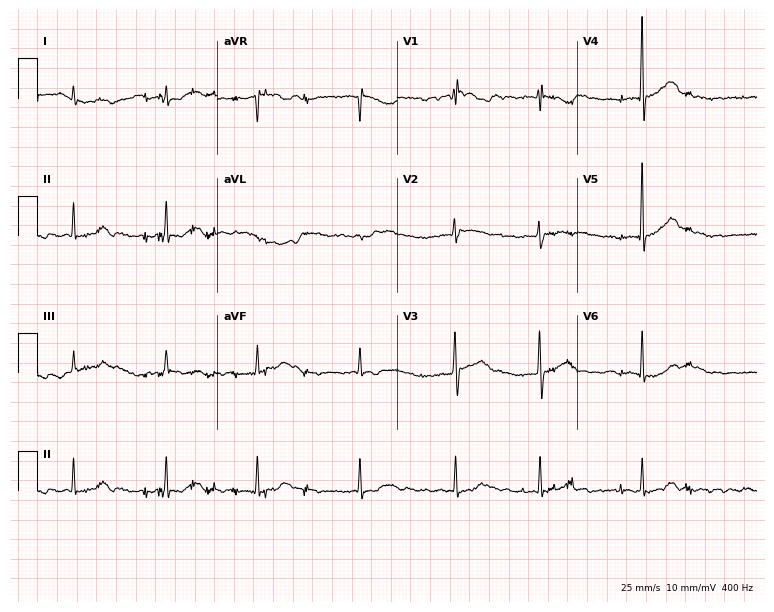
Resting 12-lead electrocardiogram (7.3-second recording at 400 Hz). Patient: a man, 82 years old. None of these six findings is recorded: first-degree AV block, right bundle branch block, left bundle branch block, sinus bradycardia, atrial fibrillation, sinus tachycardia. Only these six findings were labelled.